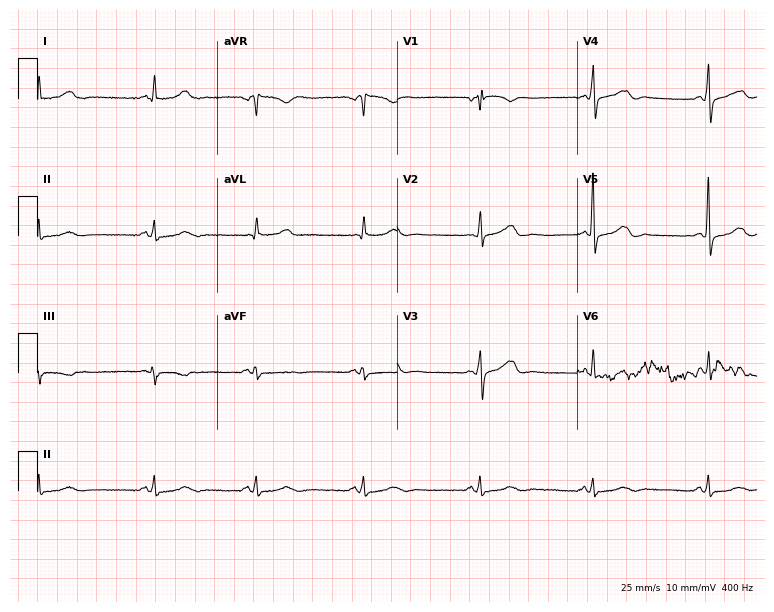
ECG — a 63-year-old woman. Screened for six findings — first-degree AV block, right bundle branch block, left bundle branch block, sinus bradycardia, atrial fibrillation, sinus tachycardia — none is recorded. Other findings, if any, are not listed.